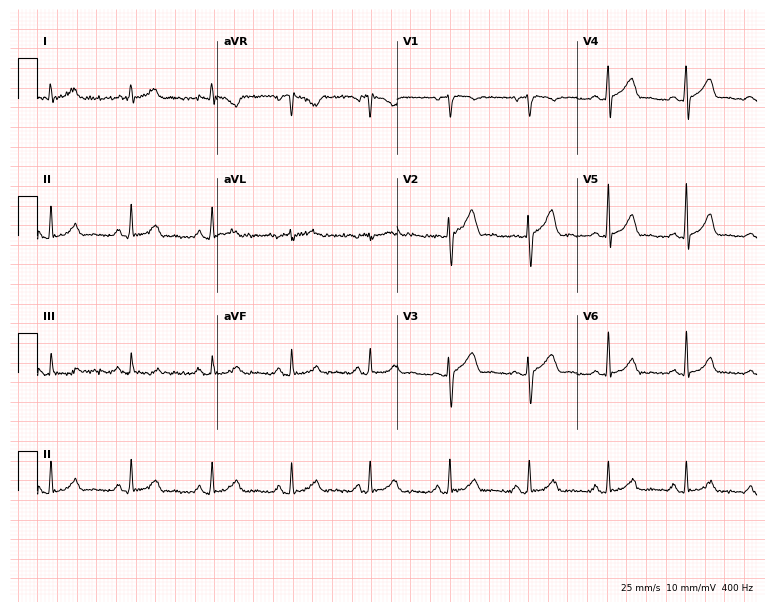
ECG (7.3-second recording at 400 Hz) — a male patient, 35 years old. Labelled as a normal ECG.